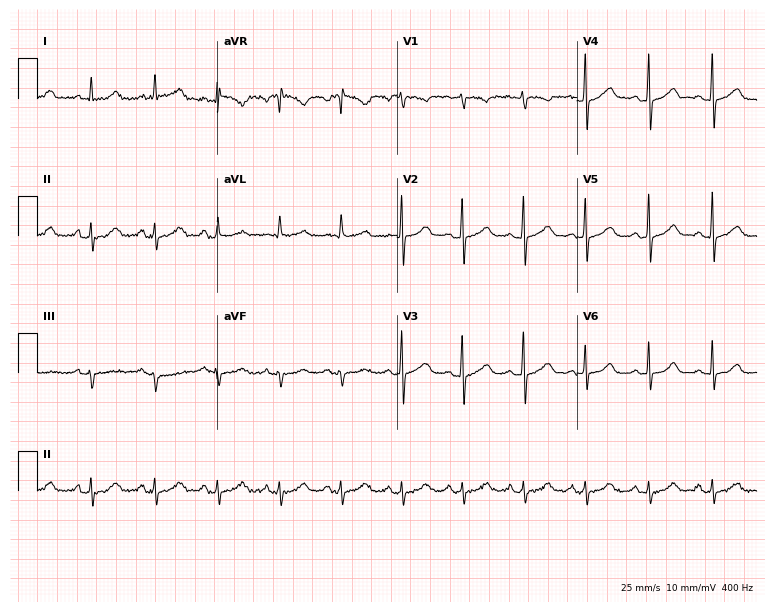
ECG (7.3-second recording at 400 Hz) — a female patient, 37 years old. Screened for six findings — first-degree AV block, right bundle branch block, left bundle branch block, sinus bradycardia, atrial fibrillation, sinus tachycardia — none is recorded. Findings outside these six are not listed.